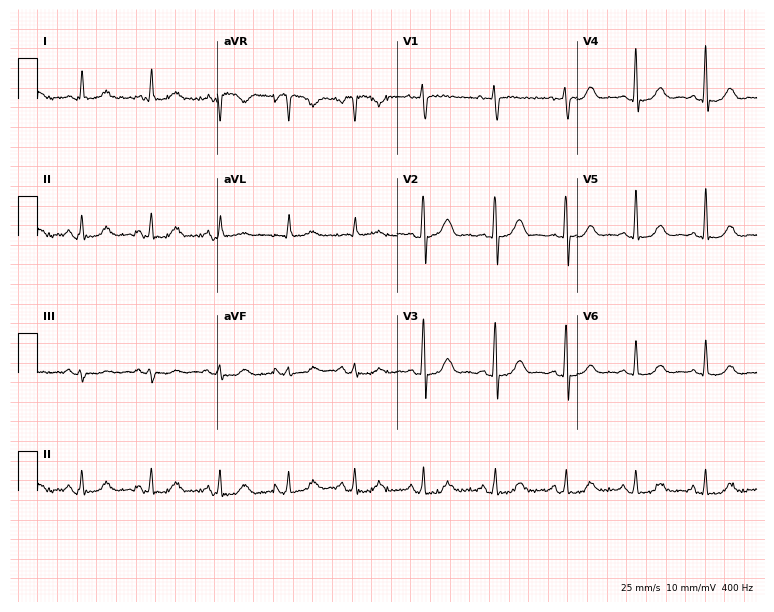
ECG — a female patient, 63 years old. Labelled as a normal ECG.